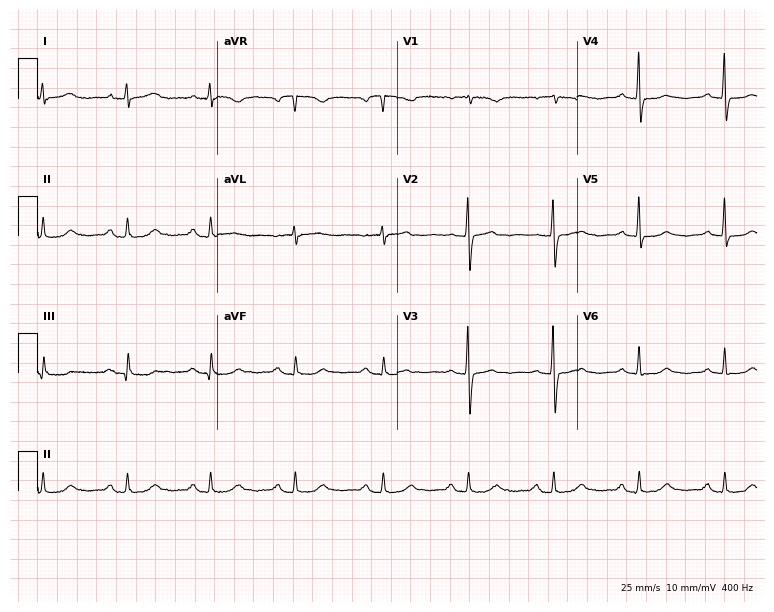
ECG — a female, 78 years old. Screened for six findings — first-degree AV block, right bundle branch block, left bundle branch block, sinus bradycardia, atrial fibrillation, sinus tachycardia — none is recorded.